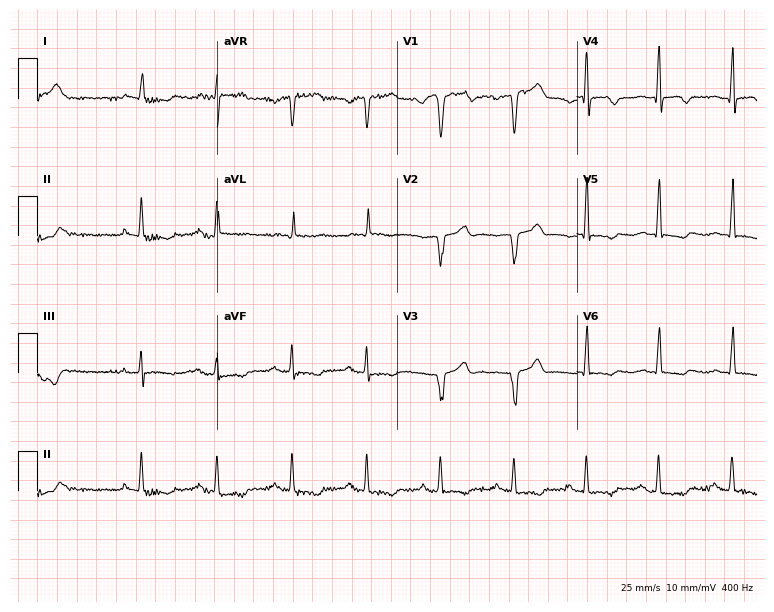
Electrocardiogram (7.3-second recording at 400 Hz), a 74-year-old man. Of the six screened findings (first-degree AV block, right bundle branch block, left bundle branch block, sinus bradycardia, atrial fibrillation, sinus tachycardia), none is recorded.